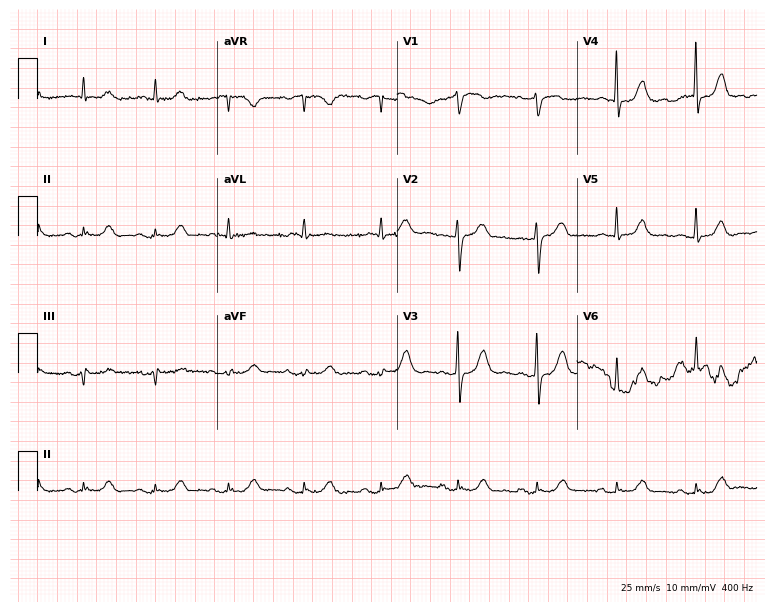
Resting 12-lead electrocardiogram (7.3-second recording at 400 Hz). Patient: a male, 70 years old. None of these six findings is recorded: first-degree AV block, right bundle branch block, left bundle branch block, sinus bradycardia, atrial fibrillation, sinus tachycardia.